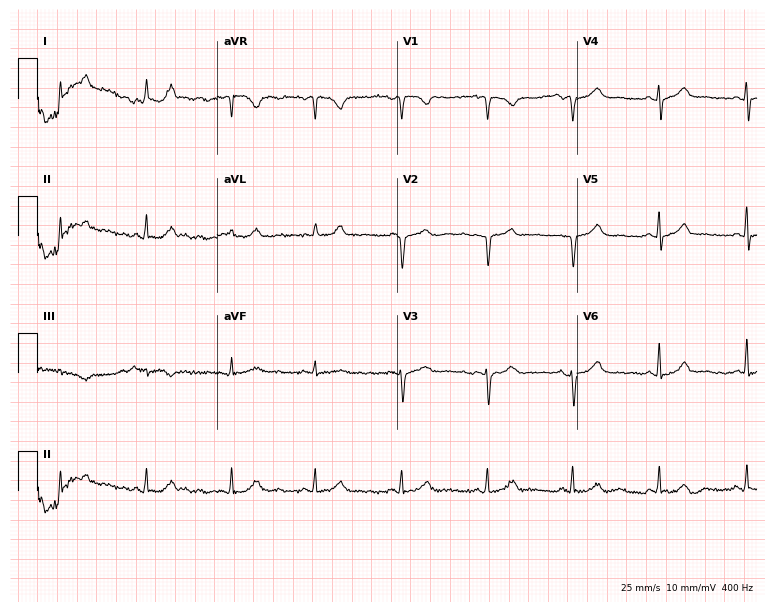
Standard 12-lead ECG recorded from a woman, 45 years old. None of these six findings is recorded: first-degree AV block, right bundle branch block, left bundle branch block, sinus bradycardia, atrial fibrillation, sinus tachycardia.